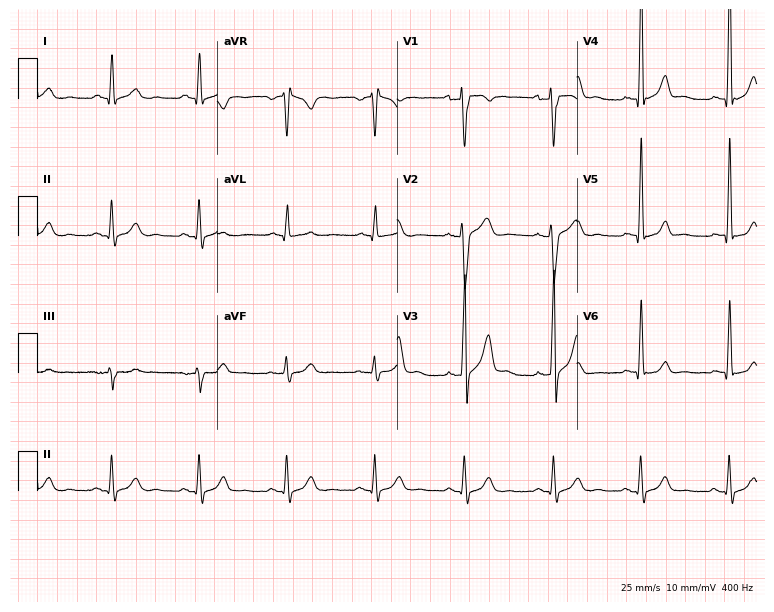
Resting 12-lead electrocardiogram (7.3-second recording at 400 Hz). Patient: a 31-year-old male. Read as a normal ECG.